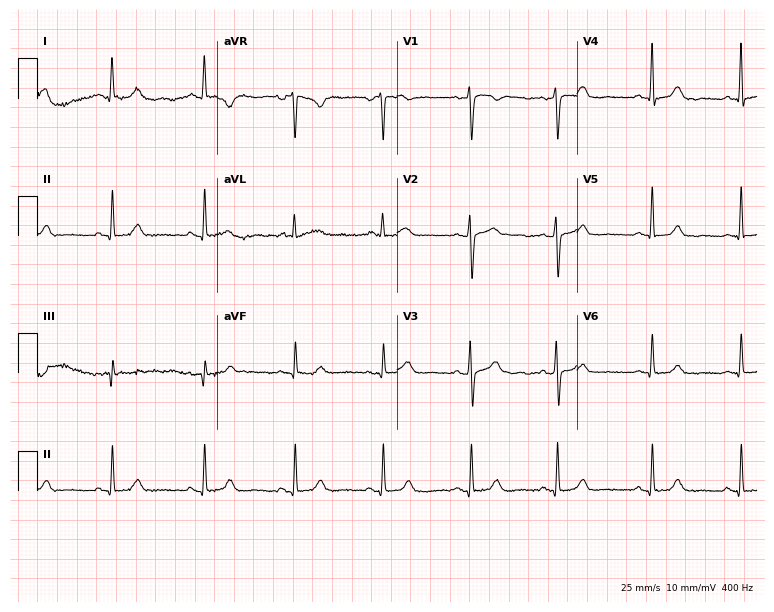
Resting 12-lead electrocardiogram (7.3-second recording at 400 Hz). Patient: a 67-year-old female. None of these six findings is recorded: first-degree AV block, right bundle branch block (RBBB), left bundle branch block (LBBB), sinus bradycardia, atrial fibrillation (AF), sinus tachycardia. Only these six findings were labelled.